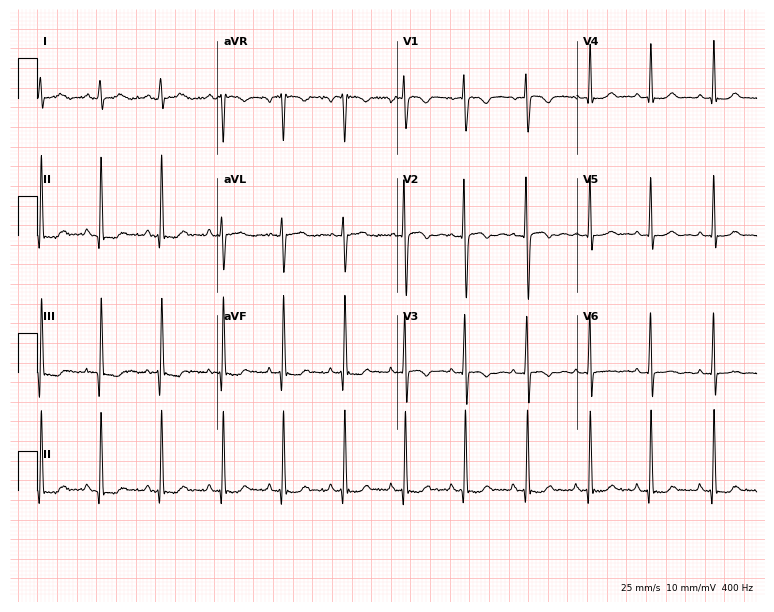
12-lead ECG from a woman, 23 years old. Screened for six findings — first-degree AV block, right bundle branch block, left bundle branch block, sinus bradycardia, atrial fibrillation, sinus tachycardia — none is recorded. Only these six findings were labelled.